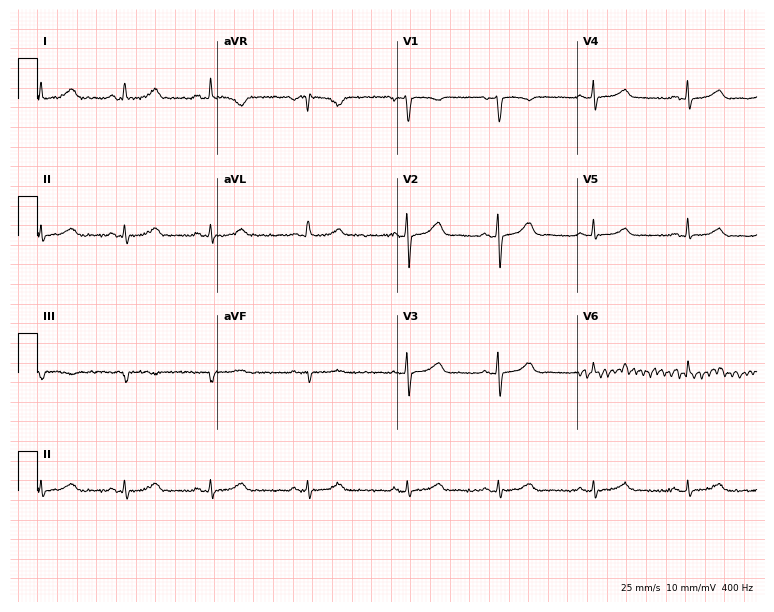
ECG (7.3-second recording at 400 Hz) — a female patient, 43 years old. Labelled as a normal ECG.